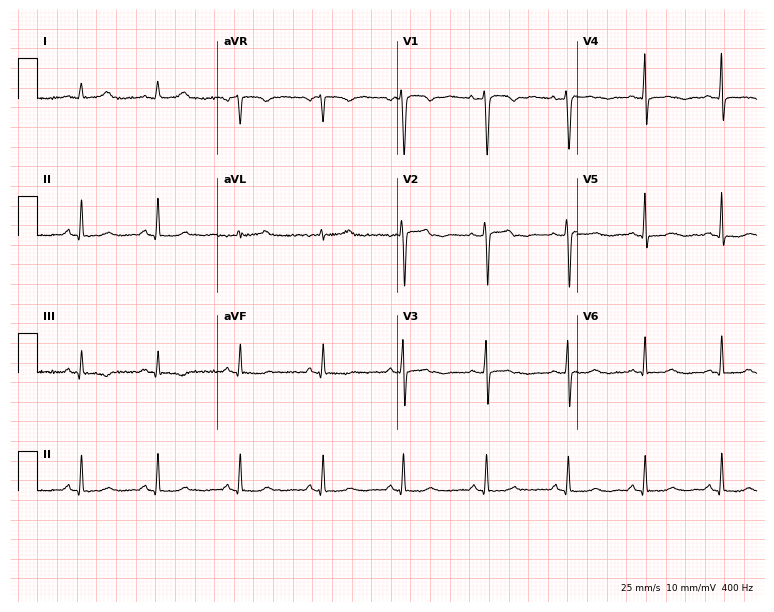
Standard 12-lead ECG recorded from a woman, 48 years old (7.3-second recording at 400 Hz). None of these six findings is recorded: first-degree AV block, right bundle branch block, left bundle branch block, sinus bradycardia, atrial fibrillation, sinus tachycardia.